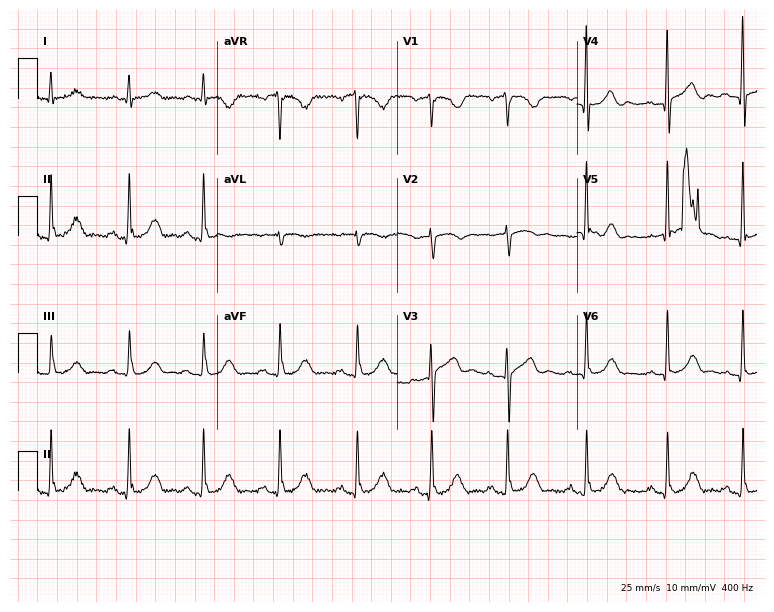
ECG — a 70-year-old female. Screened for six findings — first-degree AV block, right bundle branch block (RBBB), left bundle branch block (LBBB), sinus bradycardia, atrial fibrillation (AF), sinus tachycardia — none is recorded.